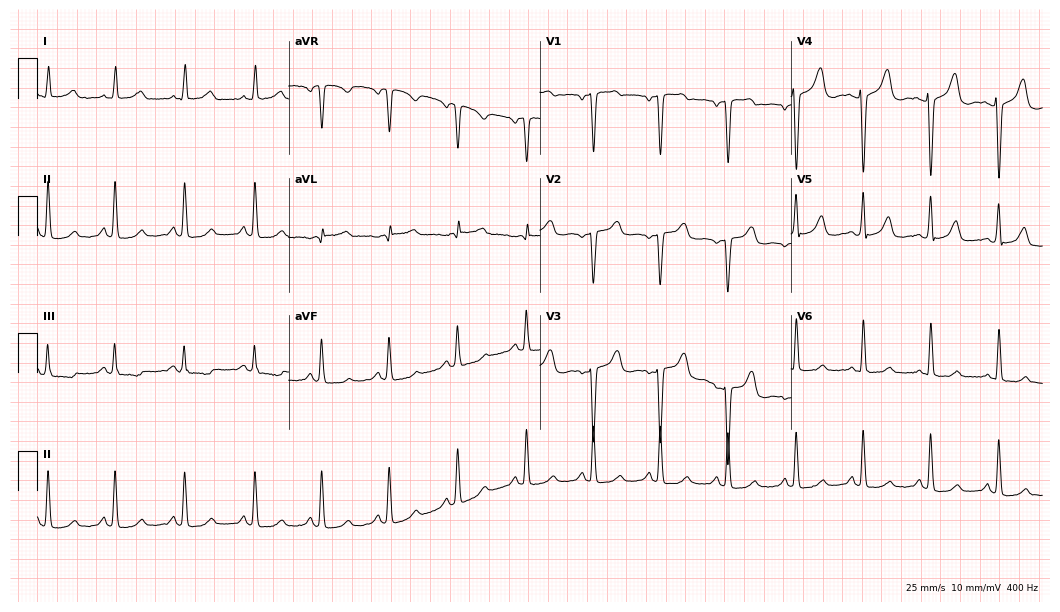
12-lead ECG (10.2-second recording at 400 Hz) from a woman, 58 years old. Screened for six findings — first-degree AV block, right bundle branch block, left bundle branch block, sinus bradycardia, atrial fibrillation, sinus tachycardia — none is recorded.